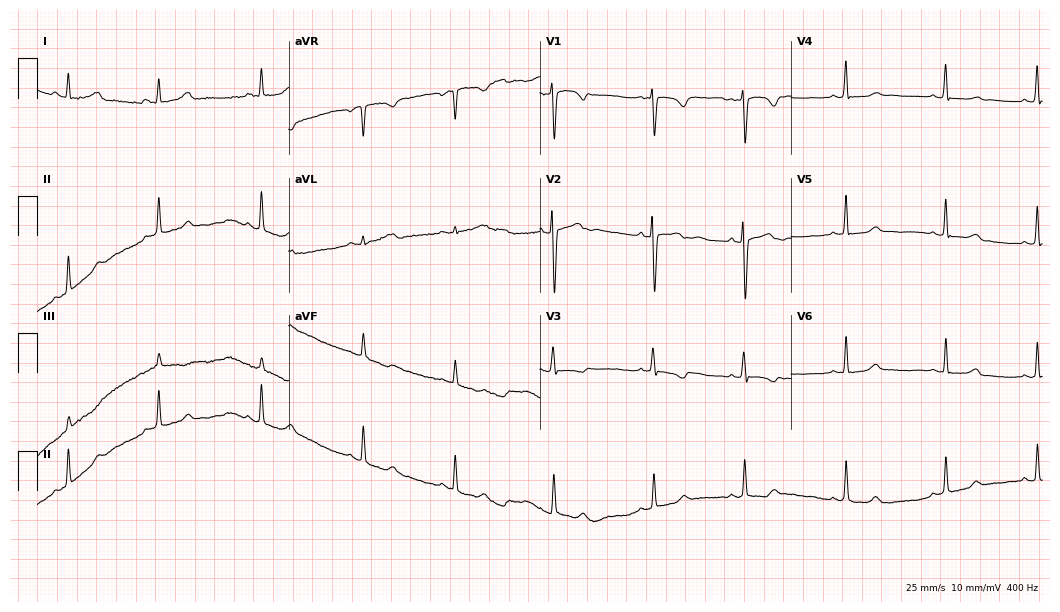
12-lead ECG from a female patient, 23 years old (10.2-second recording at 400 Hz). No first-degree AV block, right bundle branch block, left bundle branch block, sinus bradycardia, atrial fibrillation or sinus tachycardia recorded for this tracing. Other findings, if any, are not listed.